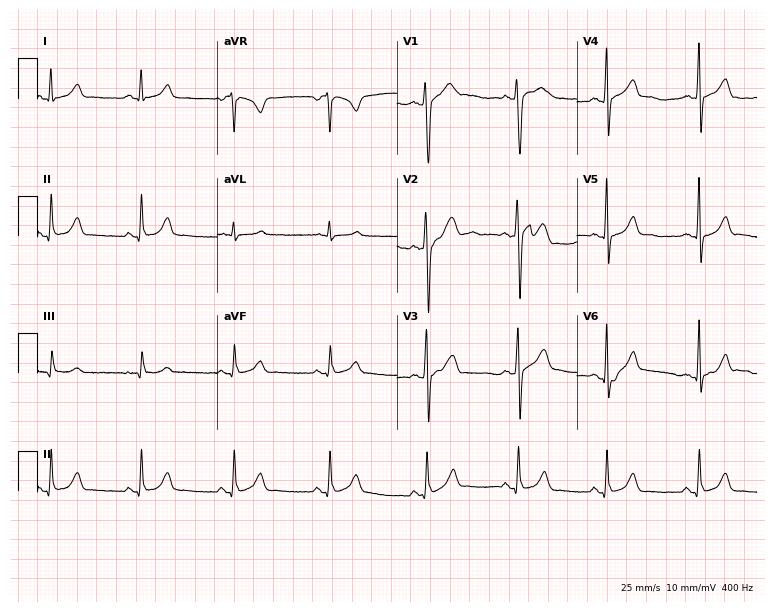
Standard 12-lead ECG recorded from a male, 27 years old (7.3-second recording at 400 Hz). Read as a normal ECG.